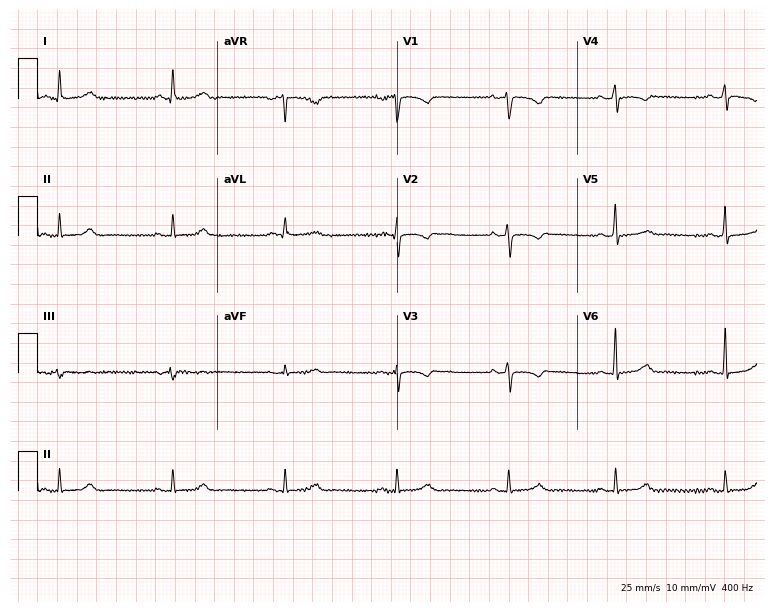
Standard 12-lead ECG recorded from a 43-year-old female. None of these six findings is recorded: first-degree AV block, right bundle branch block (RBBB), left bundle branch block (LBBB), sinus bradycardia, atrial fibrillation (AF), sinus tachycardia. Findings outside these six are not listed.